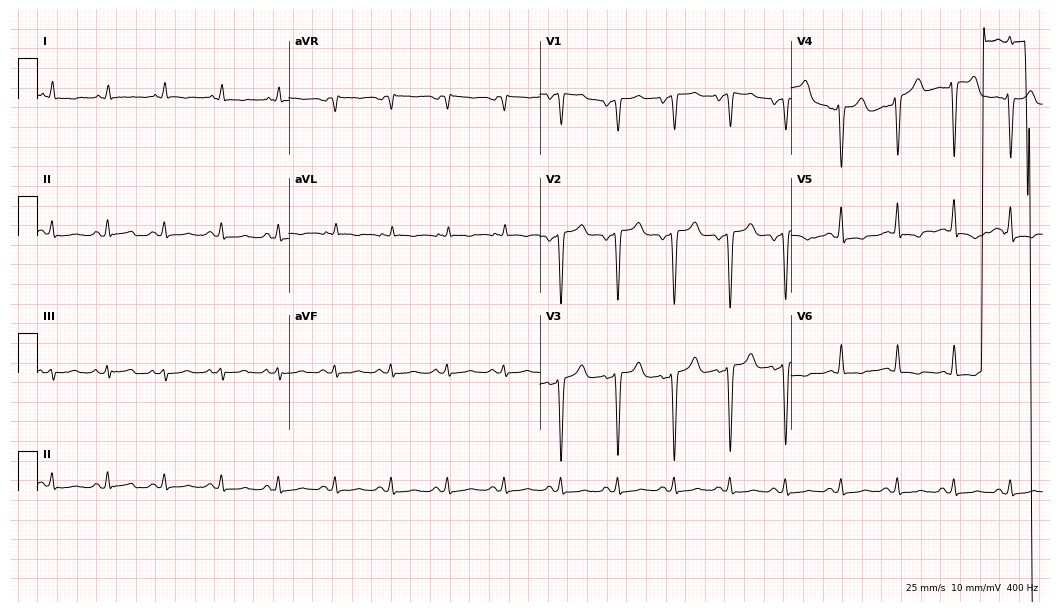
Electrocardiogram, a 49-year-old male. Interpretation includes sinus tachycardia (a sinus rate of 100 beats per minute or more).